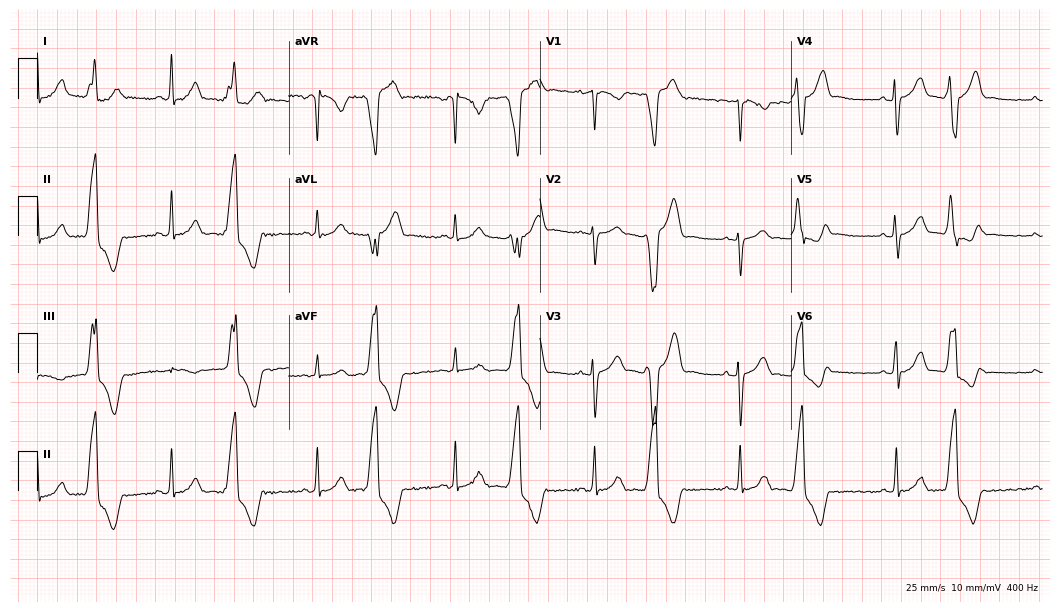
12-lead ECG from a 29-year-old female (10.2-second recording at 400 Hz). No first-degree AV block, right bundle branch block, left bundle branch block, sinus bradycardia, atrial fibrillation or sinus tachycardia recorded for this tracing. Other findings, if any, are not listed.